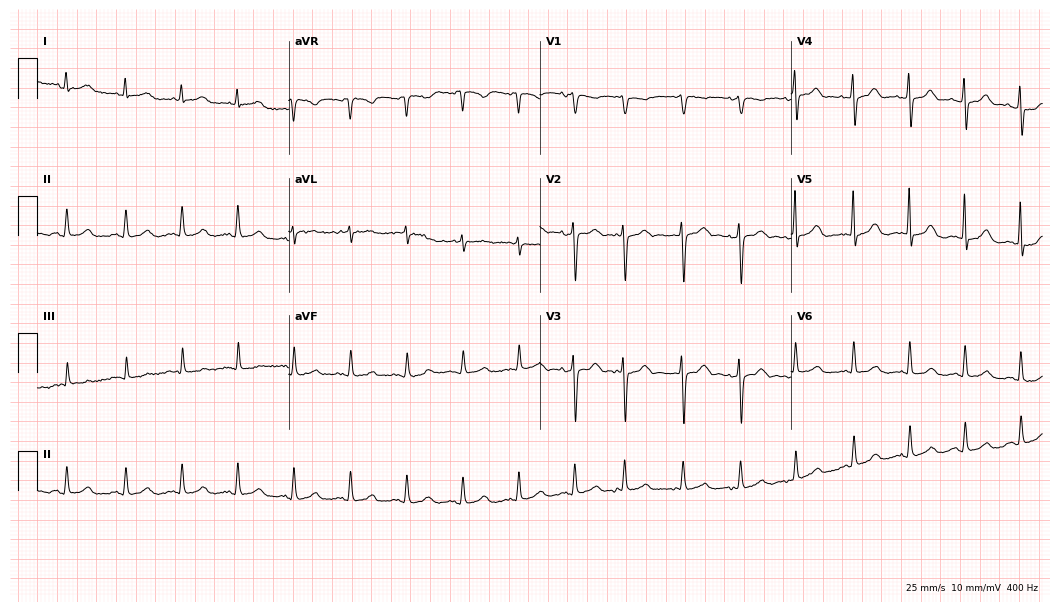
Electrocardiogram, an 85-year-old female. Interpretation includes sinus tachycardia (a sinus rate of 100 beats per minute or more).